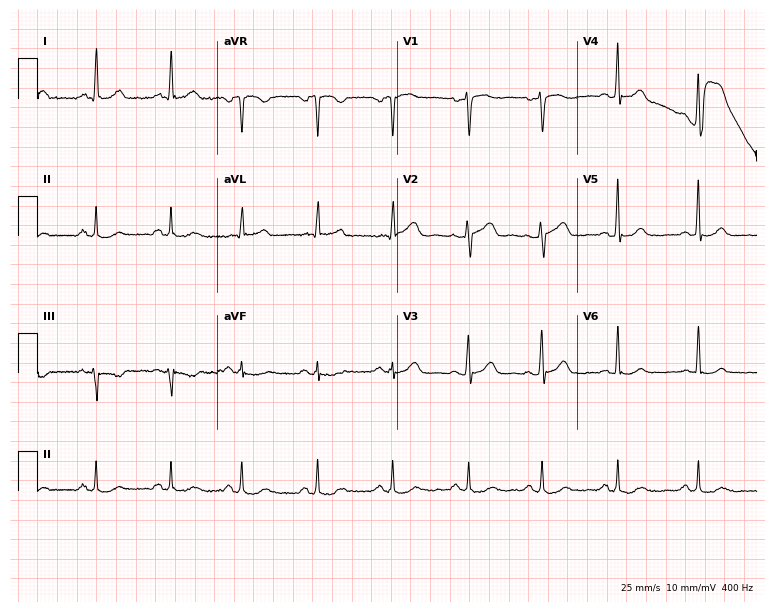
12-lead ECG from a 52-year-old female (7.3-second recording at 400 Hz). No first-degree AV block, right bundle branch block (RBBB), left bundle branch block (LBBB), sinus bradycardia, atrial fibrillation (AF) or sinus tachycardia recorded for this tracing.